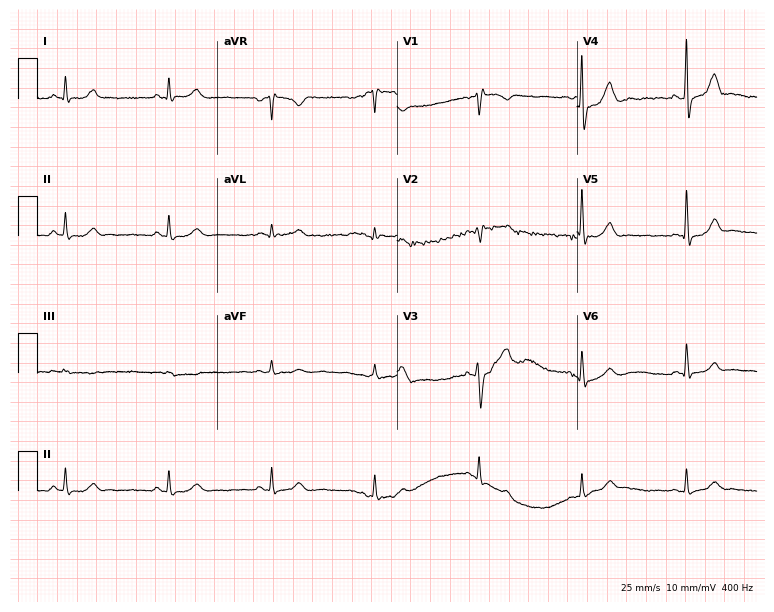
12-lead ECG from a male patient, 63 years old. Screened for six findings — first-degree AV block, right bundle branch block, left bundle branch block, sinus bradycardia, atrial fibrillation, sinus tachycardia — none is recorded.